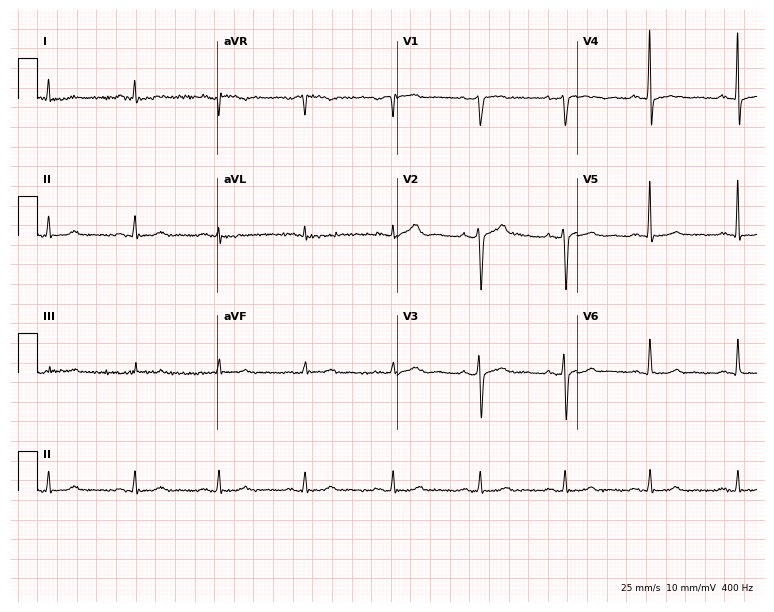
12-lead ECG from a 48-year-old male. No first-degree AV block, right bundle branch block (RBBB), left bundle branch block (LBBB), sinus bradycardia, atrial fibrillation (AF) or sinus tachycardia recorded for this tracing.